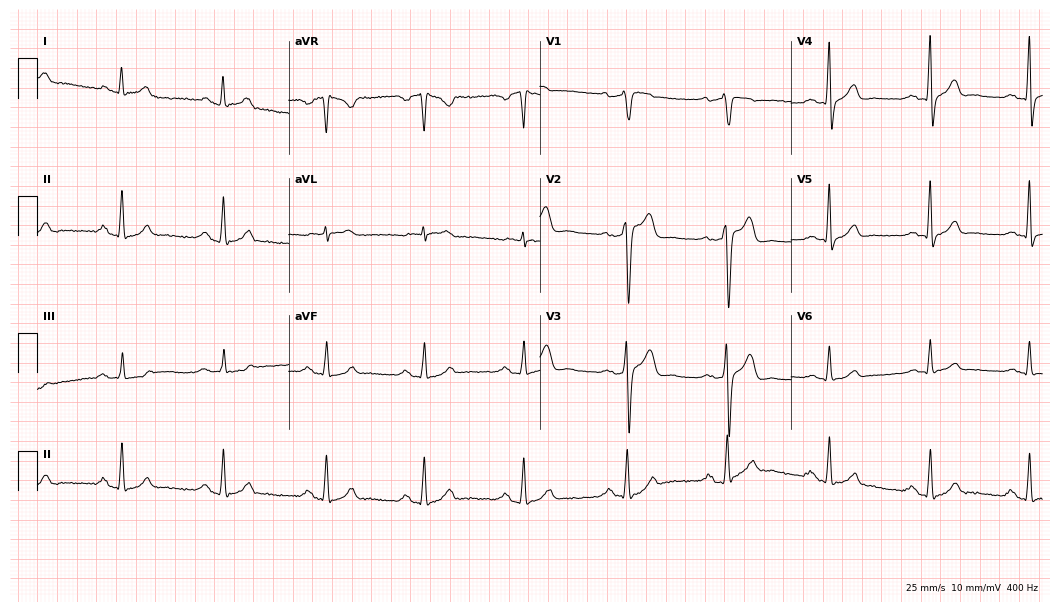
12-lead ECG from a female patient, 61 years old. Screened for six findings — first-degree AV block, right bundle branch block (RBBB), left bundle branch block (LBBB), sinus bradycardia, atrial fibrillation (AF), sinus tachycardia — none is recorded. Other findings, if any, are not listed.